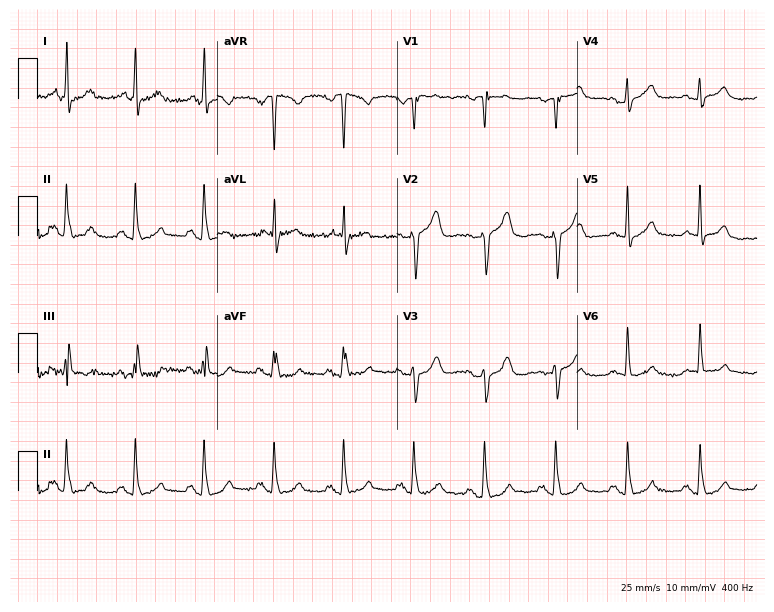
Electrocardiogram (7.3-second recording at 400 Hz), an 83-year-old female patient. Of the six screened findings (first-degree AV block, right bundle branch block (RBBB), left bundle branch block (LBBB), sinus bradycardia, atrial fibrillation (AF), sinus tachycardia), none is recorded. Only these six findings were labelled.